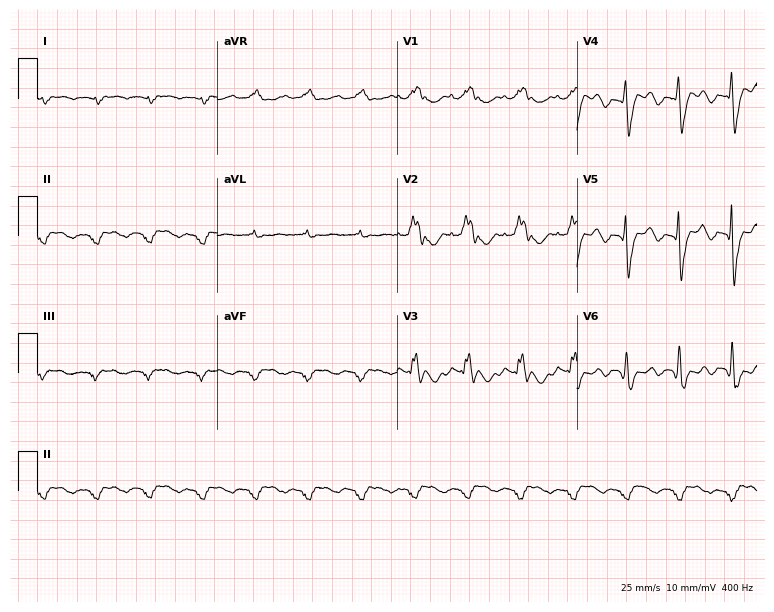
12-lead ECG from a man, 29 years old. Findings include right bundle branch block, sinus tachycardia (a sinus rate of 100 beats per minute or more).